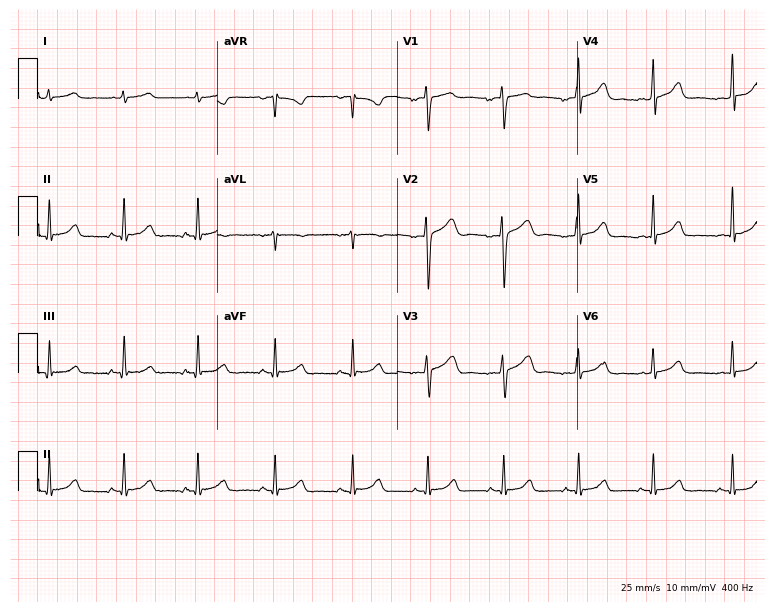
Electrocardiogram (7.3-second recording at 400 Hz), a 29-year-old female. Overall reading on record: normal ECG.